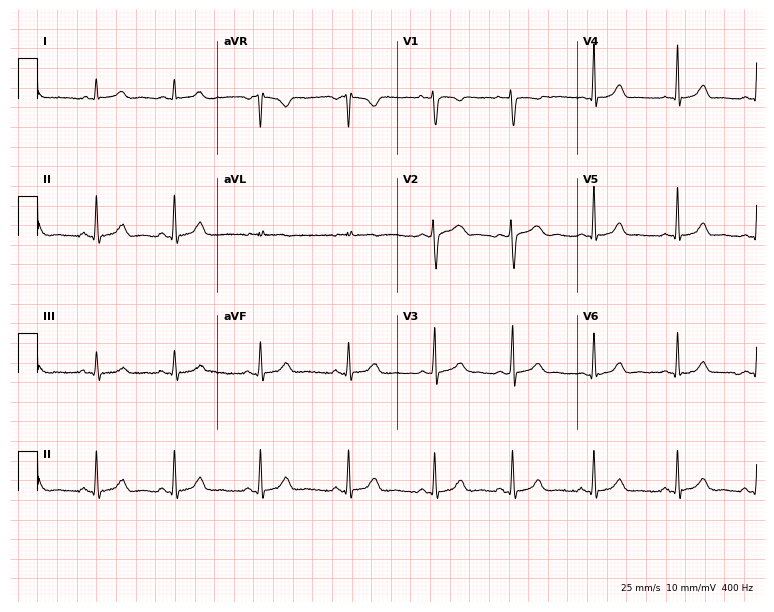
12-lead ECG from a 26-year-old female. Labelled as a normal ECG.